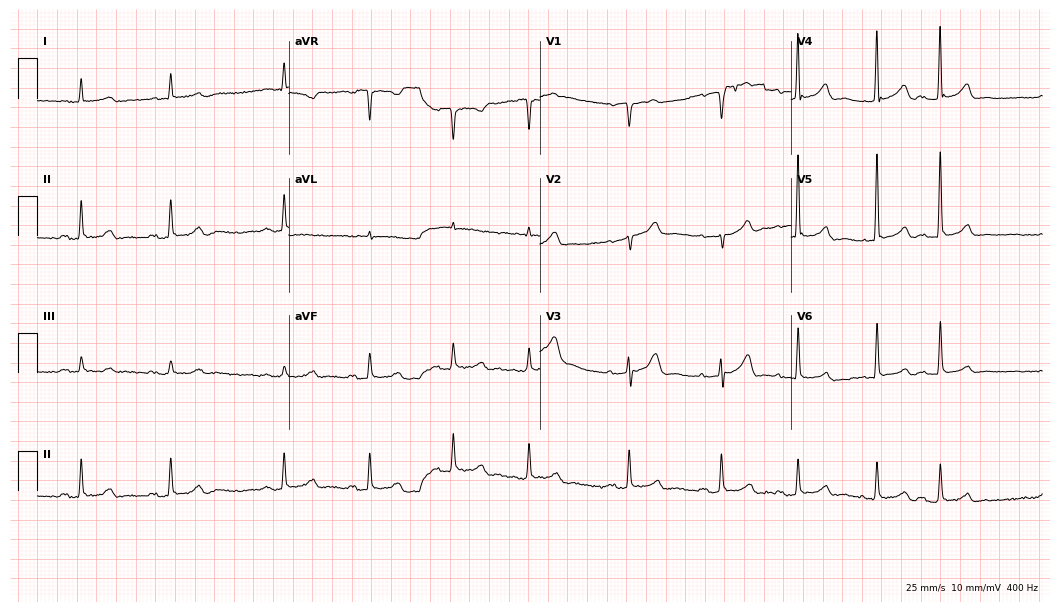
12-lead ECG (10.2-second recording at 400 Hz) from a 79-year-old male. Labelled as a normal ECG.